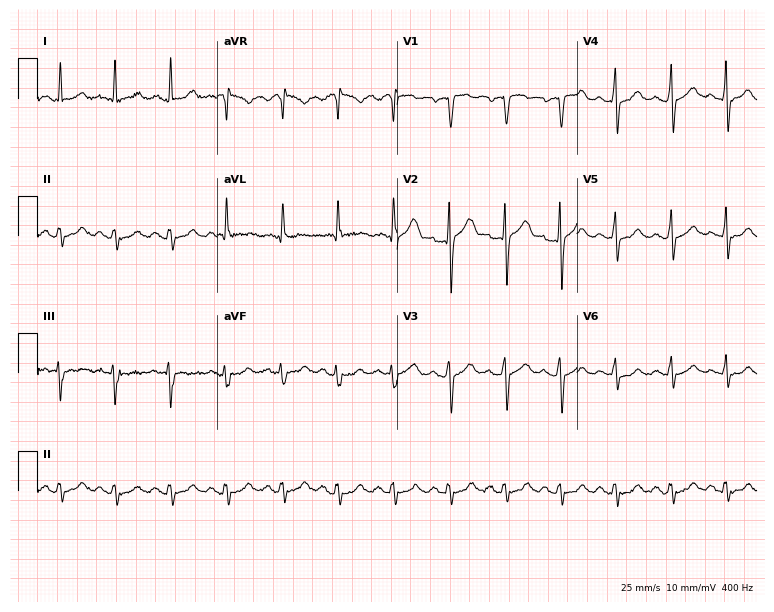
Electrocardiogram (7.3-second recording at 400 Hz), a 51-year-old male patient. Of the six screened findings (first-degree AV block, right bundle branch block (RBBB), left bundle branch block (LBBB), sinus bradycardia, atrial fibrillation (AF), sinus tachycardia), none is recorded.